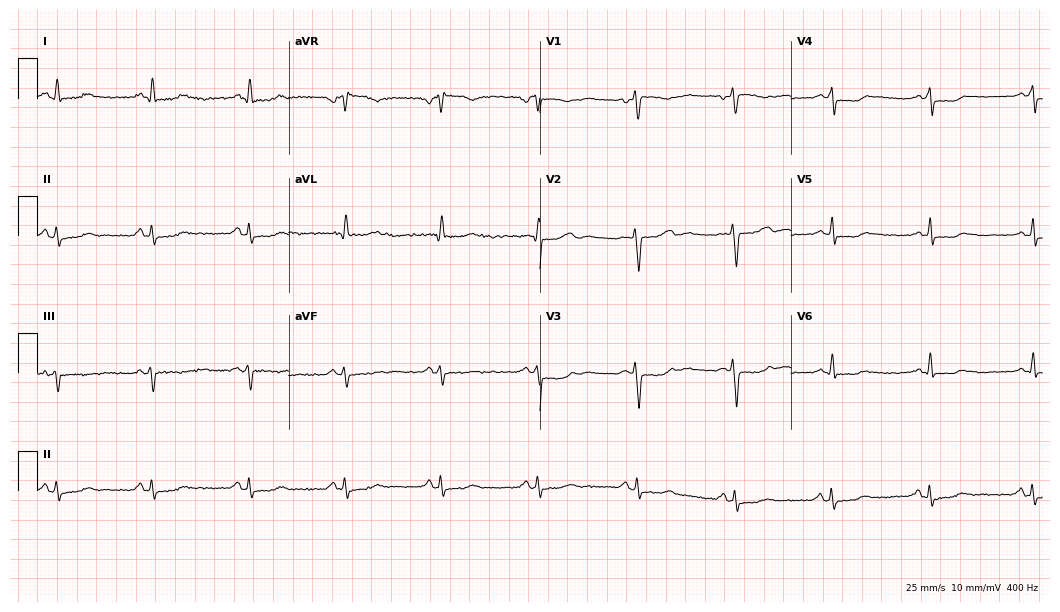
Electrocardiogram, a female, 58 years old. Of the six screened findings (first-degree AV block, right bundle branch block, left bundle branch block, sinus bradycardia, atrial fibrillation, sinus tachycardia), none is recorded. Findings outside these six are not listed.